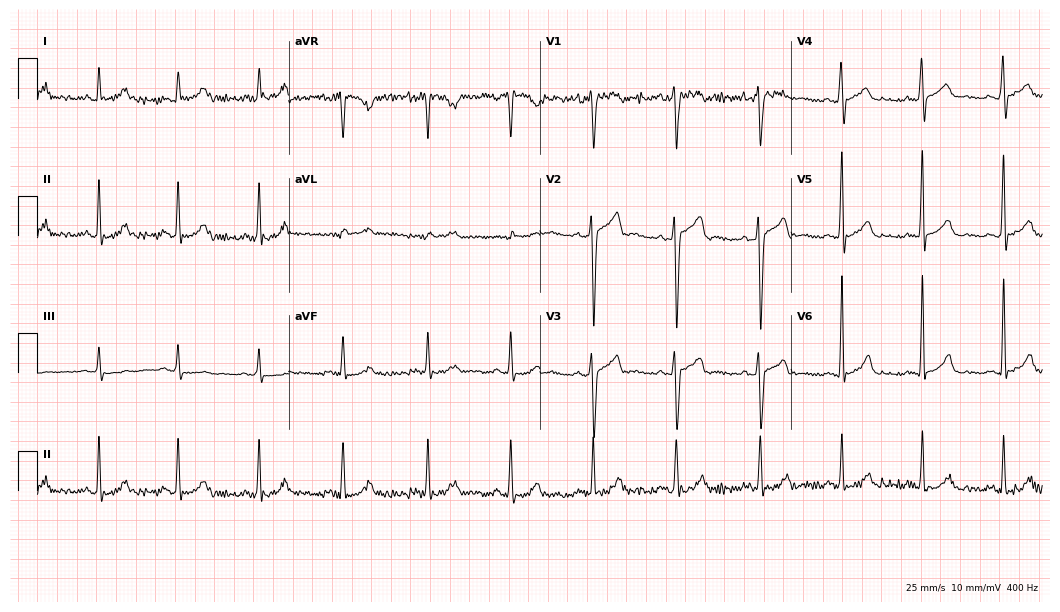
Standard 12-lead ECG recorded from a male patient, 44 years old (10.2-second recording at 400 Hz). Read as a normal ECG.